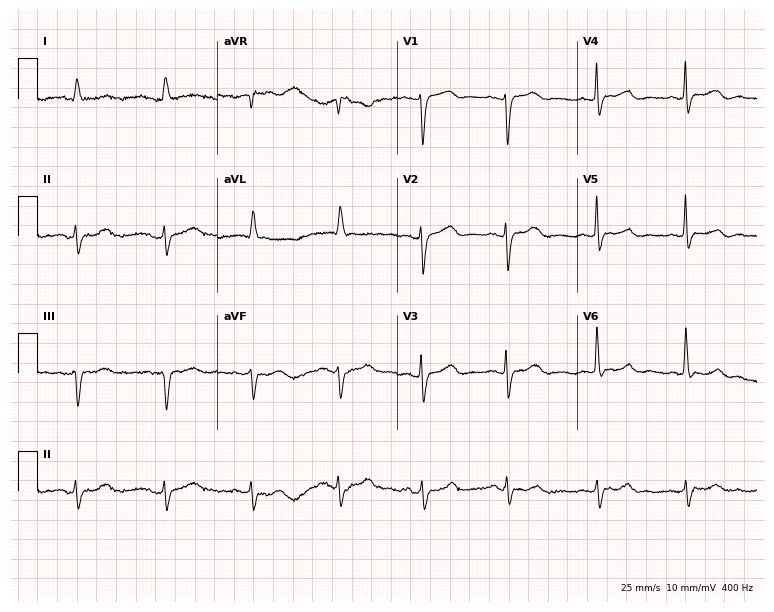
12-lead ECG from a female, 81 years old. No first-degree AV block, right bundle branch block, left bundle branch block, sinus bradycardia, atrial fibrillation or sinus tachycardia recorded for this tracing.